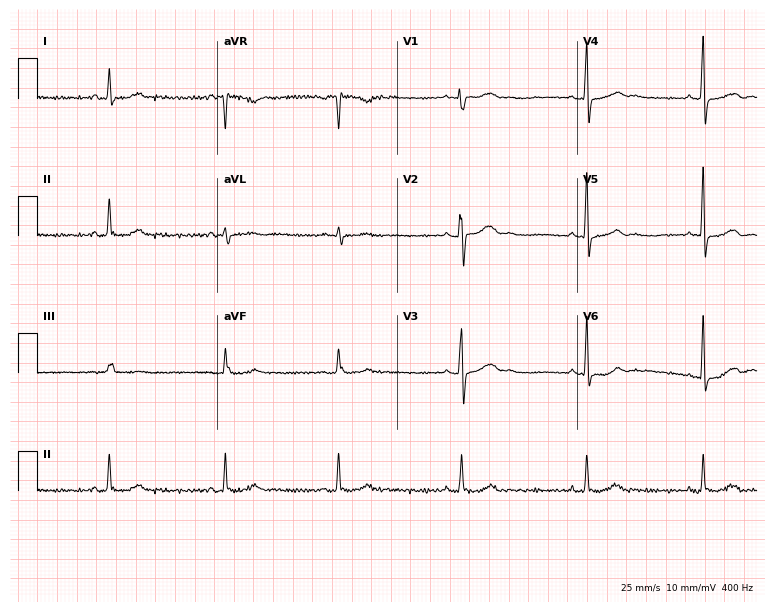
12-lead ECG from a 56-year-old woman. Labelled as a normal ECG.